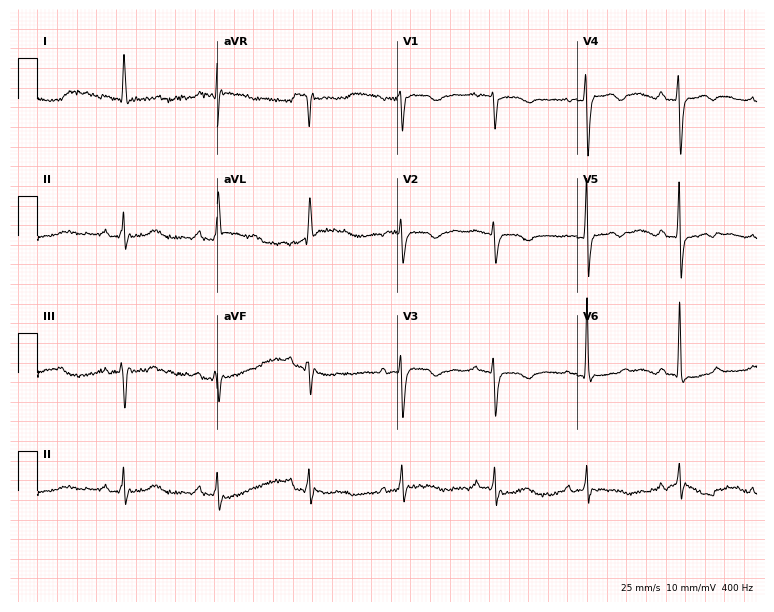
Resting 12-lead electrocardiogram. Patient: a 73-year-old female. None of these six findings is recorded: first-degree AV block, right bundle branch block (RBBB), left bundle branch block (LBBB), sinus bradycardia, atrial fibrillation (AF), sinus tachycardia.